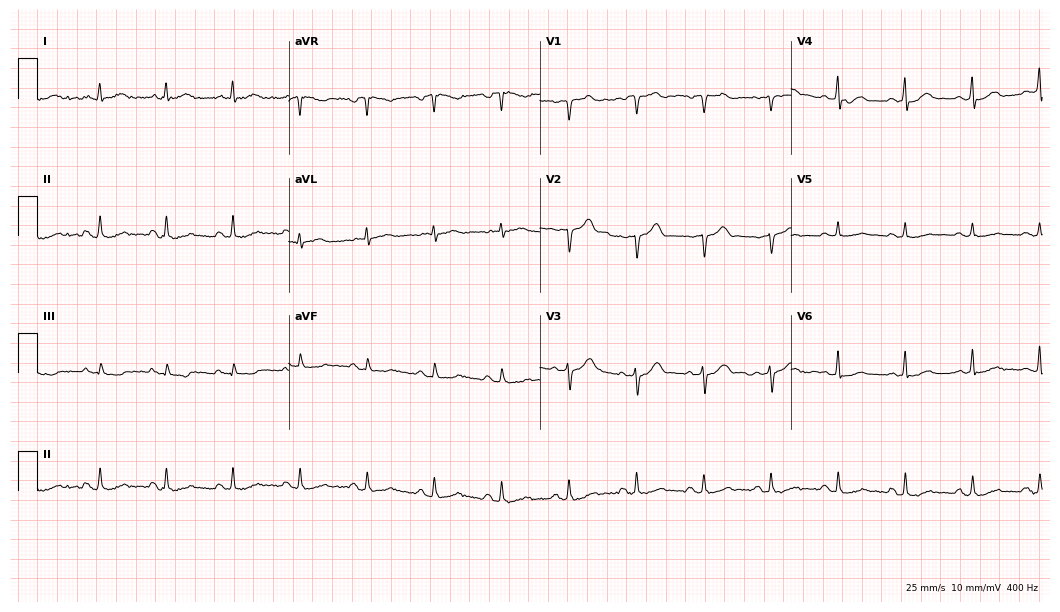
12-lead ECG from an 85-year-old male. Screened for six findings — first-degree AV block, right bundle branch block, left bundle branch block, sinus bradycardia, atrial fibrillation, sinus tachycardia — none is recorded.